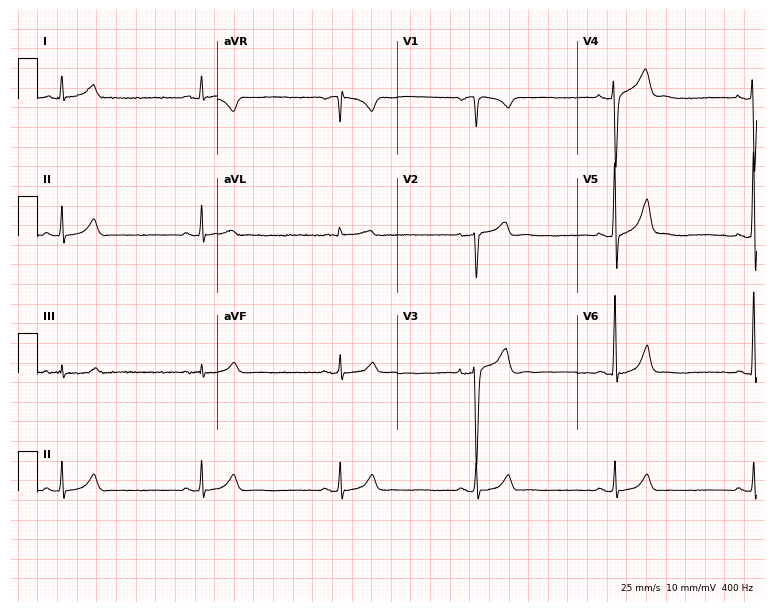
ECG (7.3-second recording at 400 Hz) — a man, 47 years old. Findings include sinus bradycardia (a sinus rate of 50 beats per minute or less).